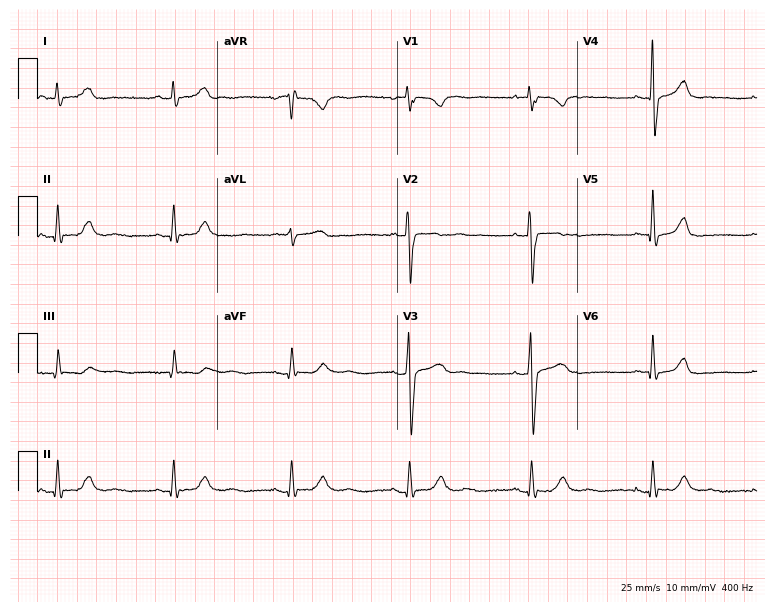
ECG (7.3-second recording at 400 Hz) — a male, 63 years old. Screened for six findings — first-degree AV block, right bundle branch block (RBBB), left bundle branch block (LBBB), sinus bradycardia, atrial fibrillation (AF), sinus tachycardia — none is recorded.